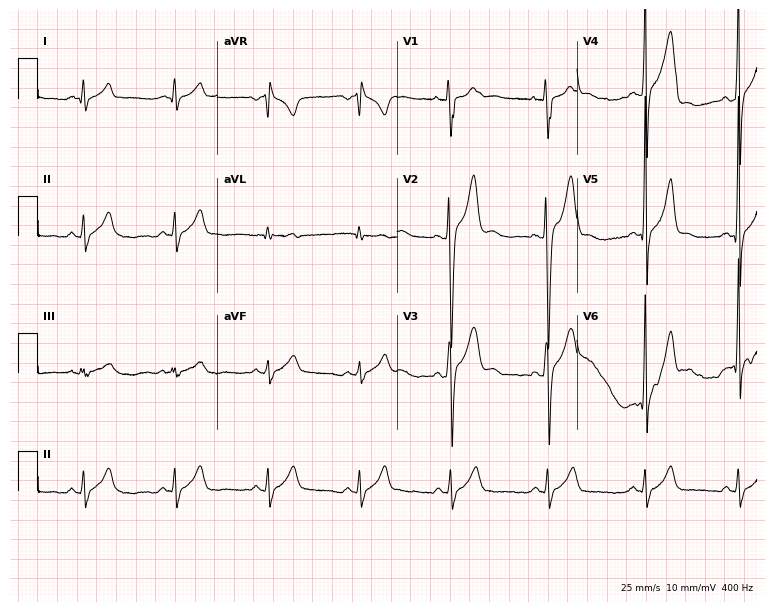
ECG (7.3-second recording at 400 Hz) — a 23-year-old male patient. Labelled as a normal ECG.